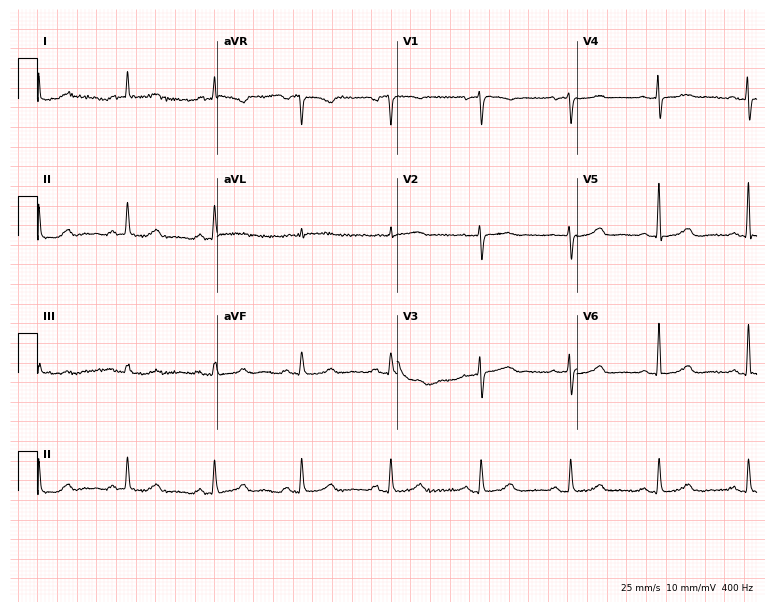
12-lead ECG from a 71-year-old female patient (7.3-second recording at 400 Hz). Recorded interpretation: within normal limits.